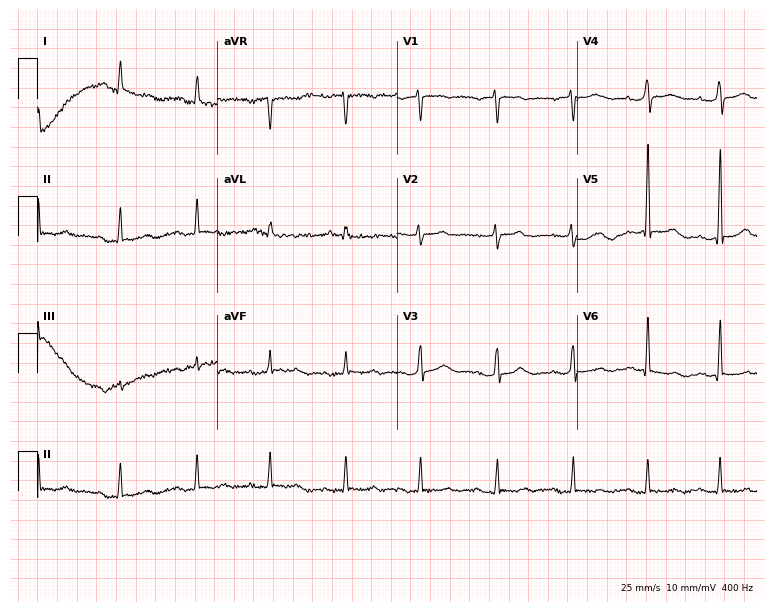
Resting 12-lead electrocardiogram (7.3-second recording at 400 Hz). Patient: a 50-year-old woman. Read as a normal ECG.